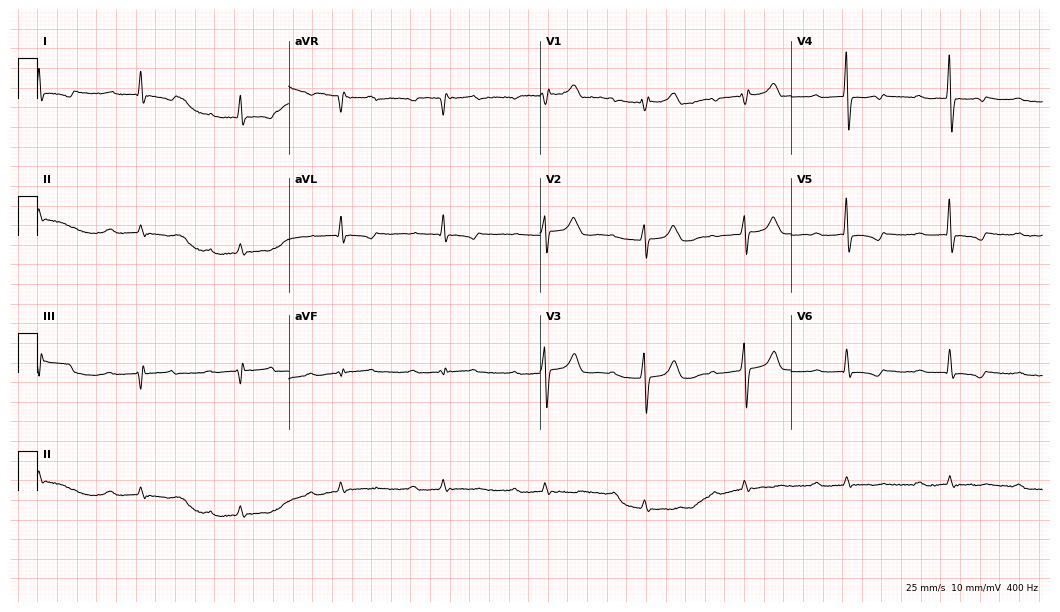
Resting 12-lead electrocardiogram. Patient: a 72-year-old male. The tracing shows first-degree AV block.